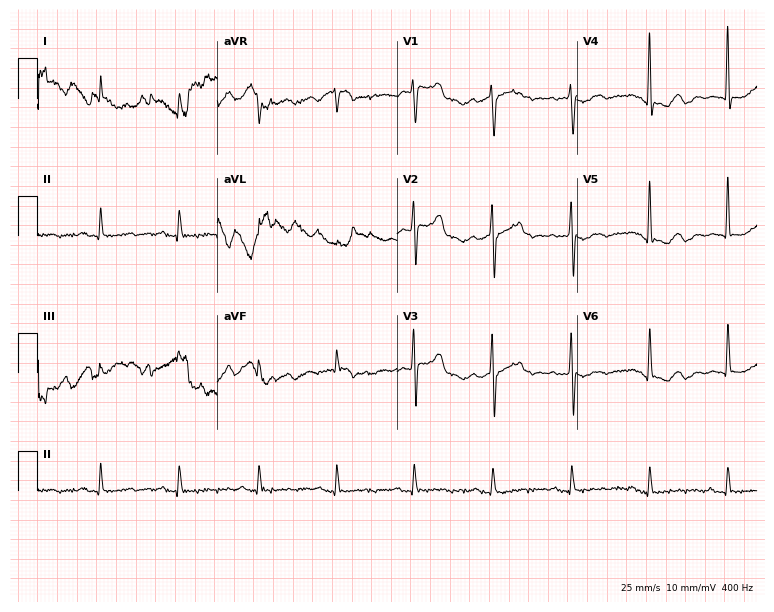
Resting 12-lead electrocardiogram (7.3-second recording at 400 Hz). Patient: a 71-year-old woman. None of these six findings is recorded: first-degree AV block, right bundle branch block, left bundle branch block, sinus bradycardia, atrial fibrillation, sinus tachycardia.